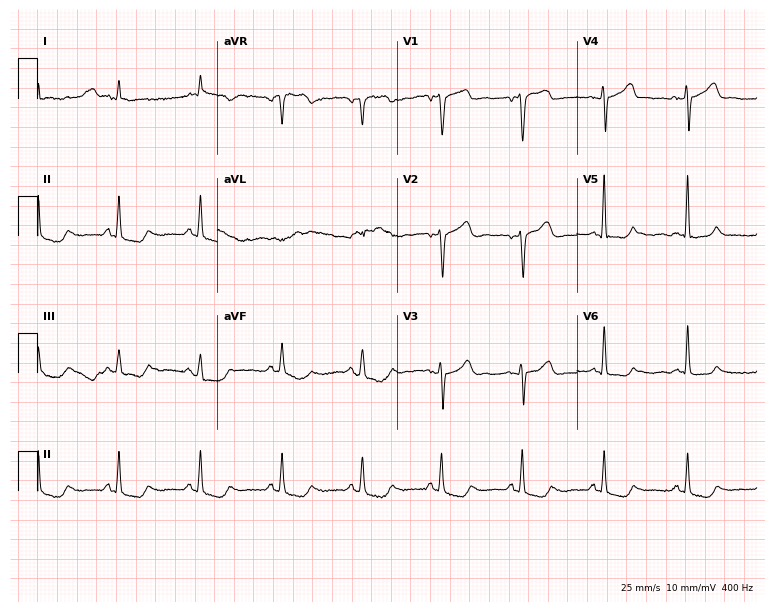
Electrocardiogram, an 84-year-old male patient. Of the six screened findings (first-degree AV block, right bundle branch block, left bundle branch block, sinus bradycardia, atrial fibrillation, sinus tachycardia), none is recorded.